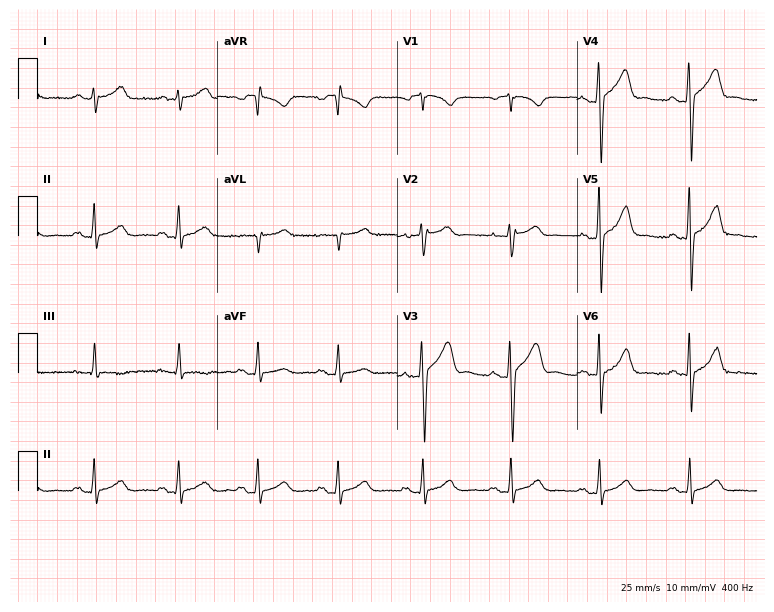
12-lead ECG from a male patient, 38 years old. No first-degree AV block, right bundle branch block, left bundle branch block, sinus bradycardia, atrial fibrillation or sinus tachycardia recorded for this tracing.